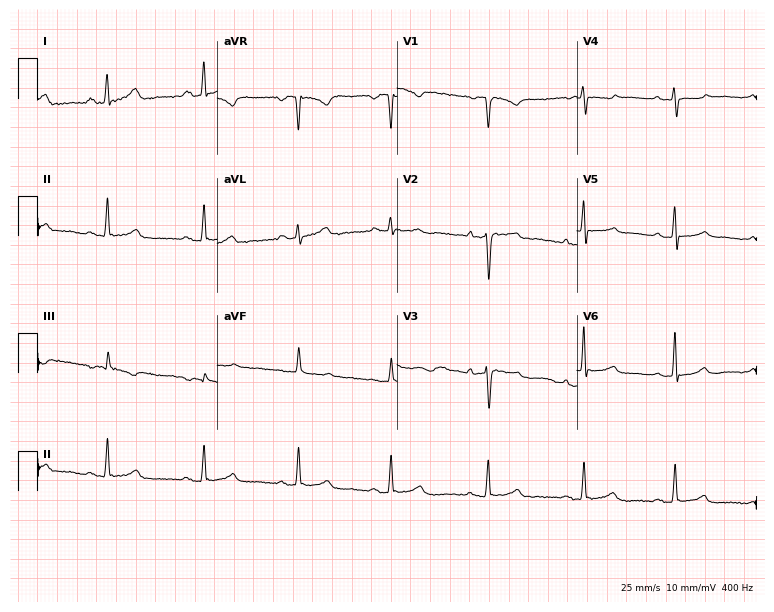
Electrocardiogram, a woman, 43 years old. Of the six screened findings (first-degree AV block, right bundle branch block (RBBB), left bundle branch block (LBBB), sinus bradycardia, atrial fibrillation (AF), sinus tachycardia), none is recorded.